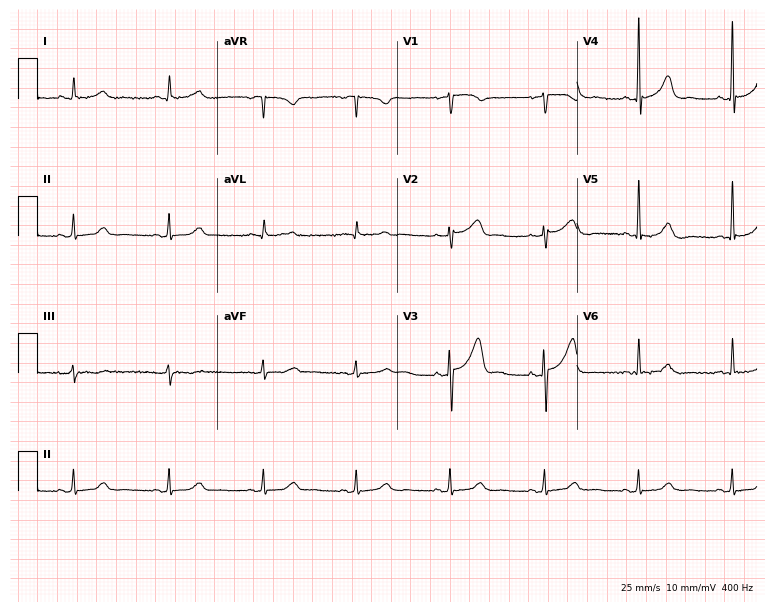
Resting 12-lead electrocardiogram. Patient: a female, 73 years old. None of these six findings is recorded: first-degree AV block, right bundle branch block, left bundle branch block, sinus bradycardia, atrial fibrillation, sinus tachycardia.